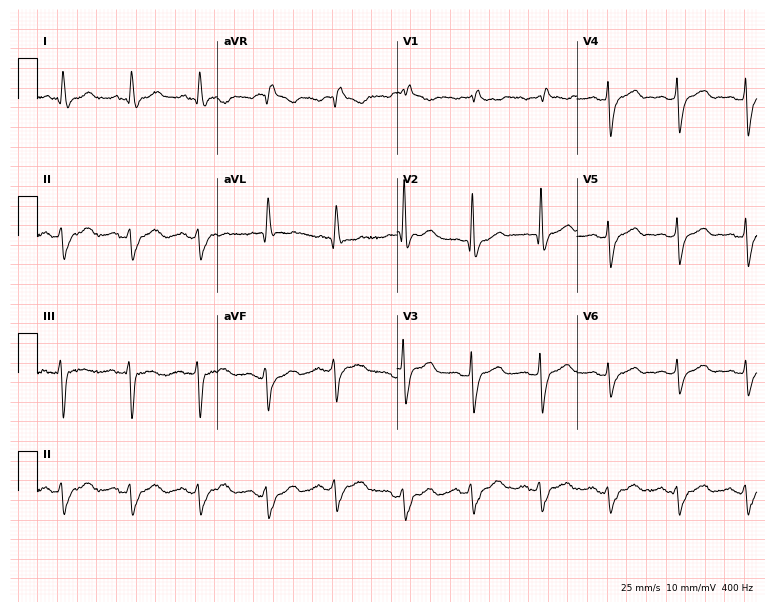
Resting 12-lead electrocardiogram (7.3-second recording at 400 Hz). Patient: a 68-year-old woman. None of these six findings is recorded: first-degree AV block, right bundle branch block, left bundle branch block, sinus bradycardia, atrial fibrillation, sinus tachycardia. Findings outside these six are not listed.